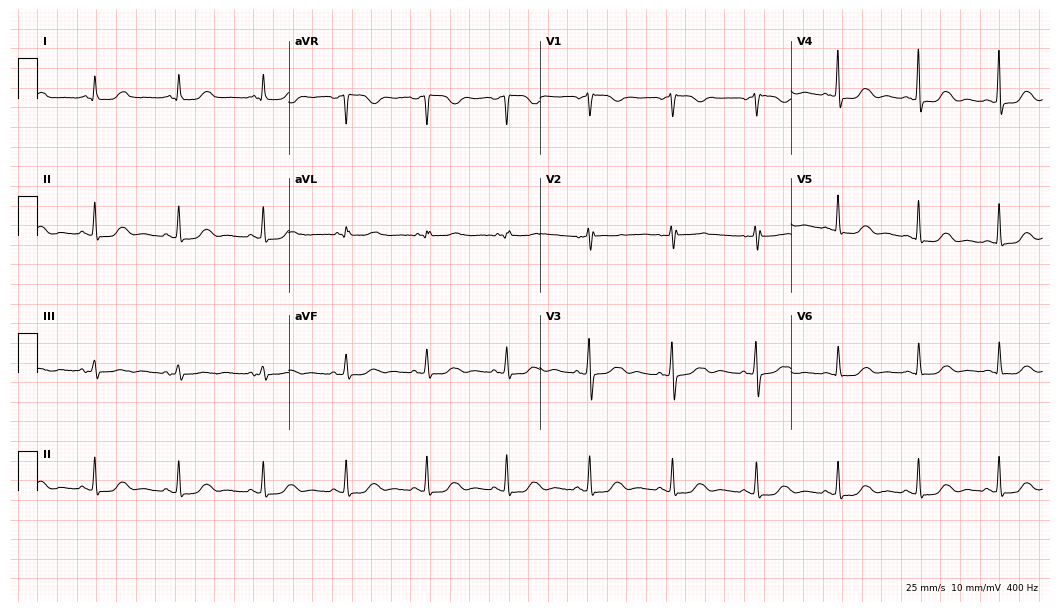
ECG (10.2-second recording at 400 Hz) — a 61-year-old female. Screened for six findings — first-degree AV block, right bundle branch block, left bundle branch block, sinus bradycardia, atrial fibrillation, sinus tachycardia — none is recorded.